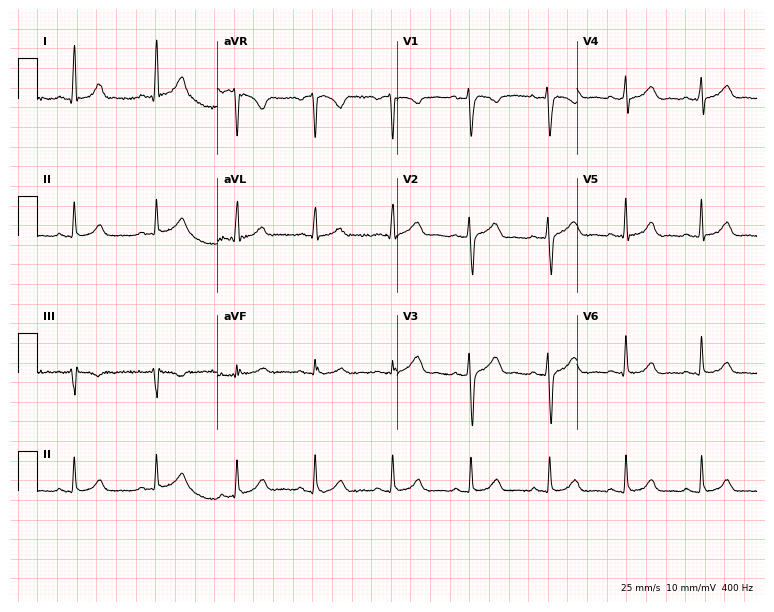
Standard 12-lead ECG recorded from a 31-year-old woman. Read as a normal ECG.